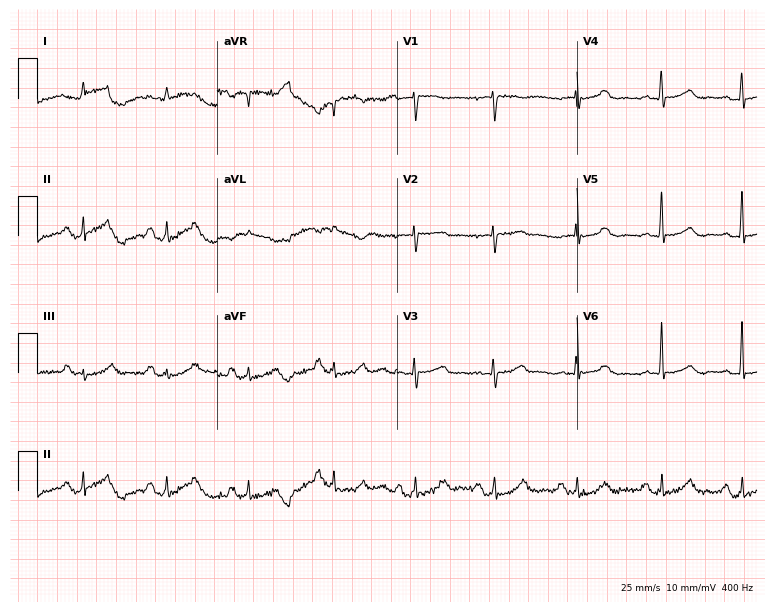
12-lead ECG (7.3-second recording at 400 Hz) from an 82-year-old female patient. Labelled as a normal ECG.